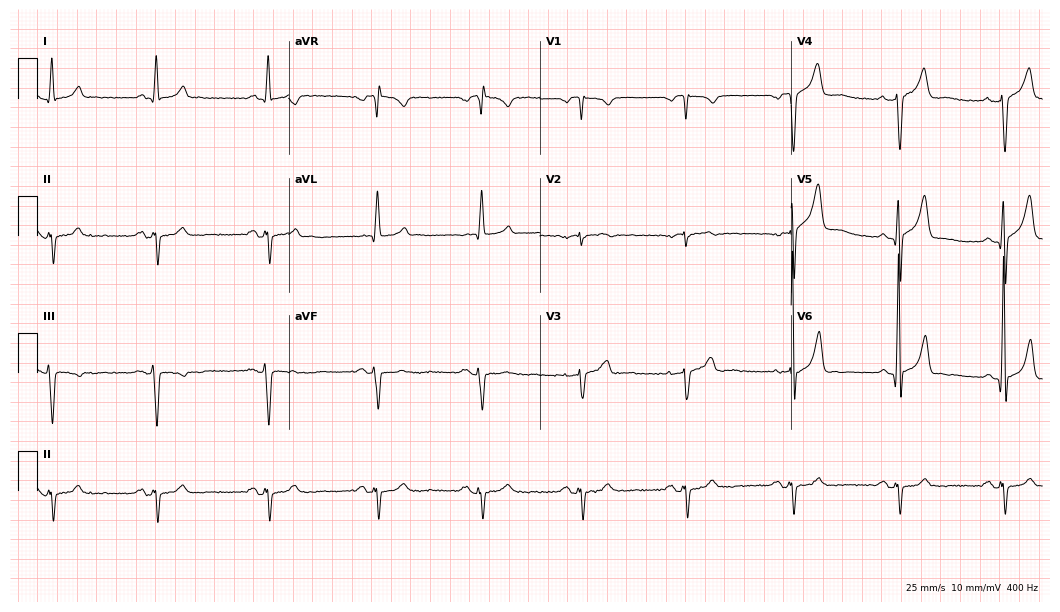
ECG — a male, 58 years old. Screened for six findings — first-degree AV block, right bundle branch block, left bundle branch block, sinus bradycardia, atrial fibrillation, sinus tachycardia — none is recorded.